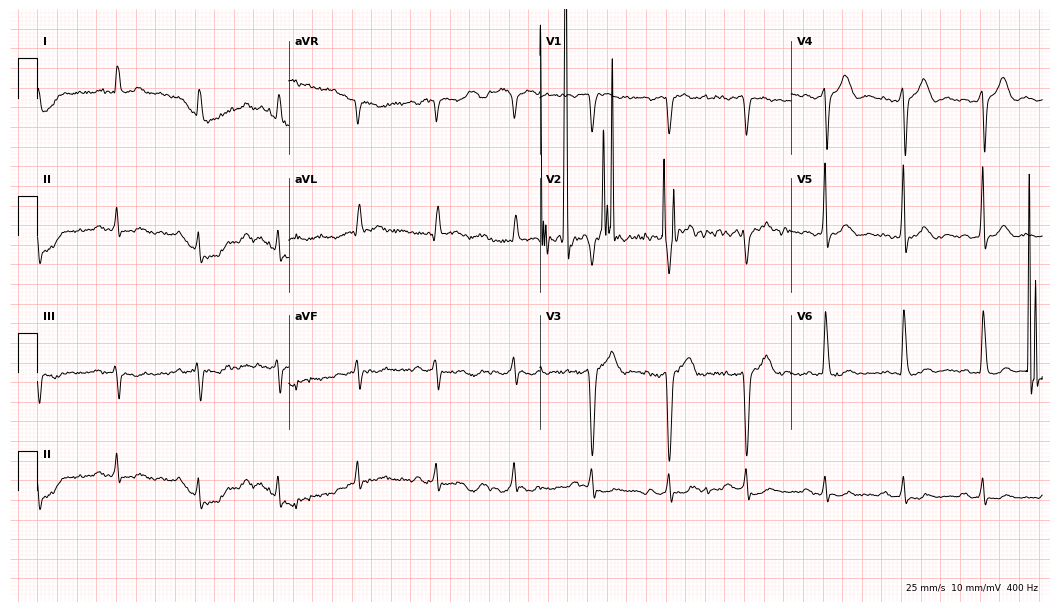
12-lead ECG from a male patient, 57 years old. Screened for six findings — first-degree AV block, right bundle branch block, left bundle branch block, sinus bradycardia, atrial fibrillation, sinus tachycardia — none is recorded. Other findings, if any, are not listed.